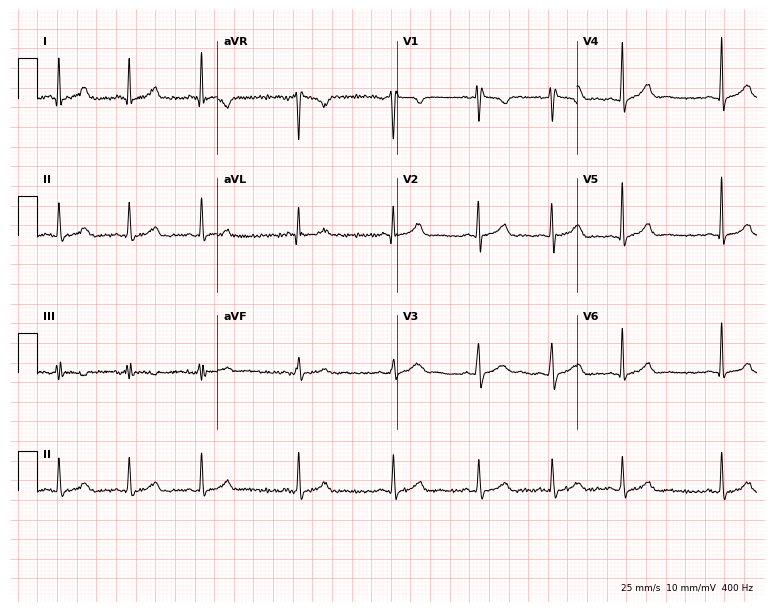
ECG (7.3-second recording at 400 Hz) — a female, 21 years old. Screened for six findings — first-degree AV block, right bundle branch block, left bundle branch block, sinus bradycardia, atrial fibrillation, sinus tachycardia — none is recorded.